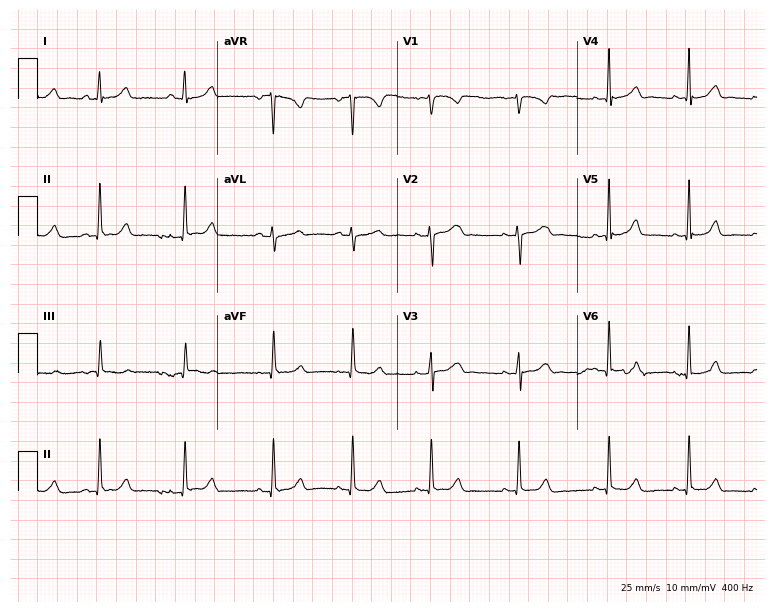
12-lead ECG from a 19-year-old female patient. Recorded interpretation: within normal limits.